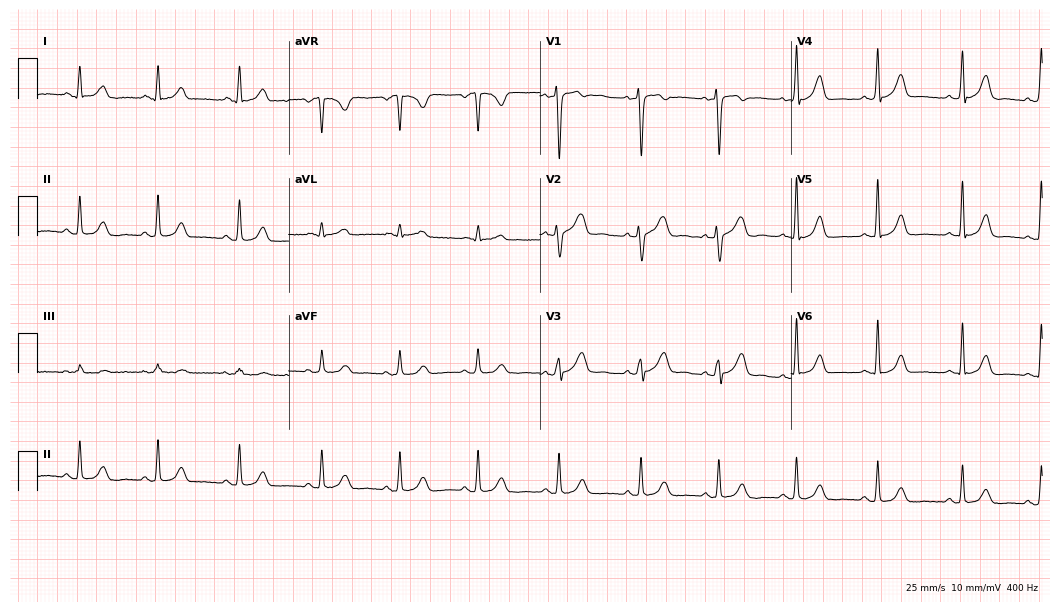
Standard 12-lead ECG recorded from a 33-year-old female patient (10.2-second recording at 400 Hz). Read as a normal ECG.